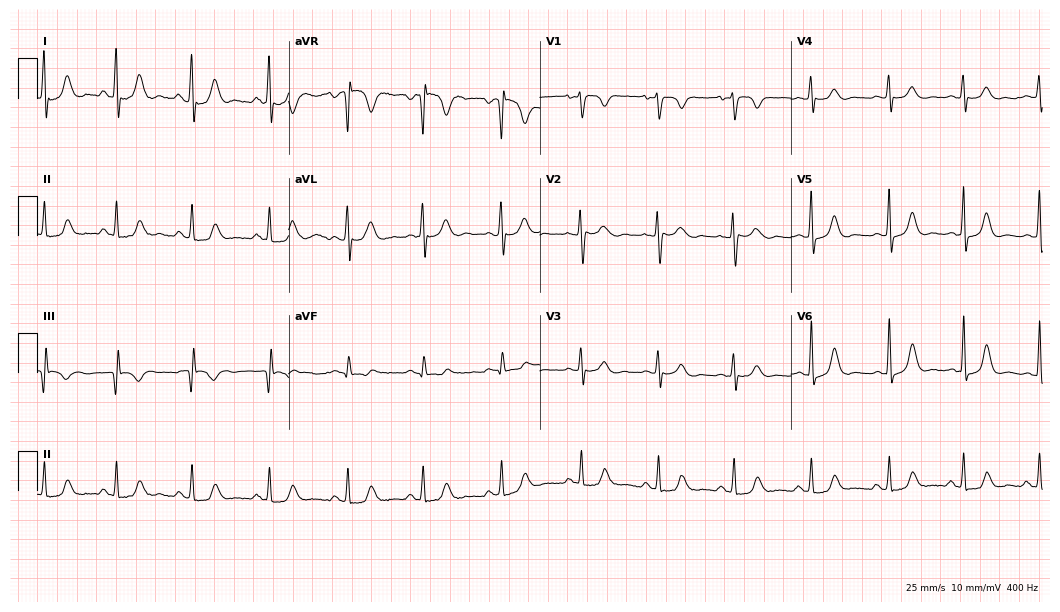
Electrocardiogram (10.2-second recording at 400 Hz), a female, 46 years old. Overall reading on record: normal ECG.